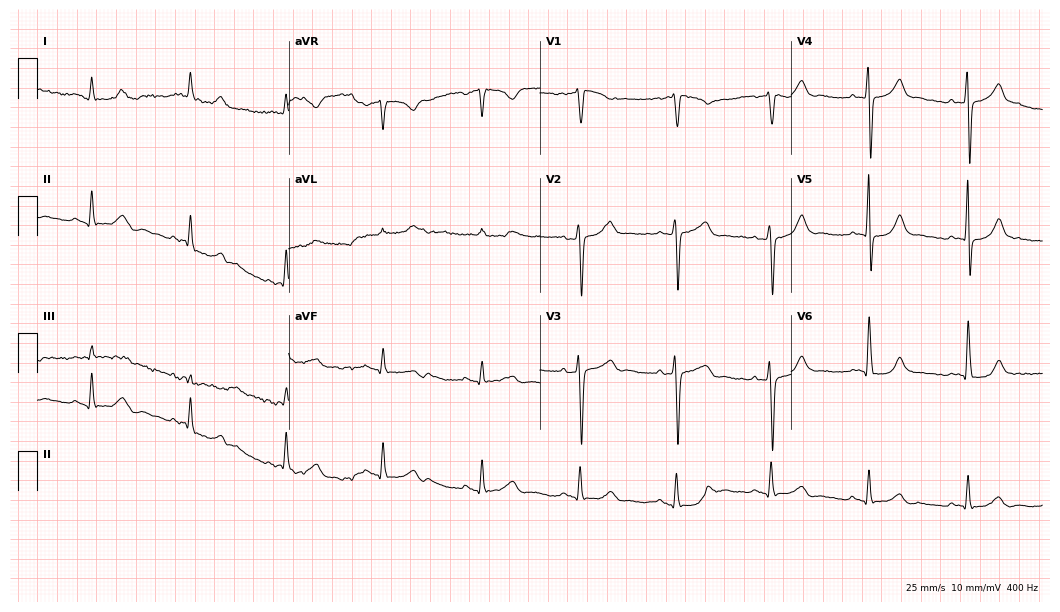
12-lead ECG from a male patient, 66 years old. Recorded interpretation: within normal limits.